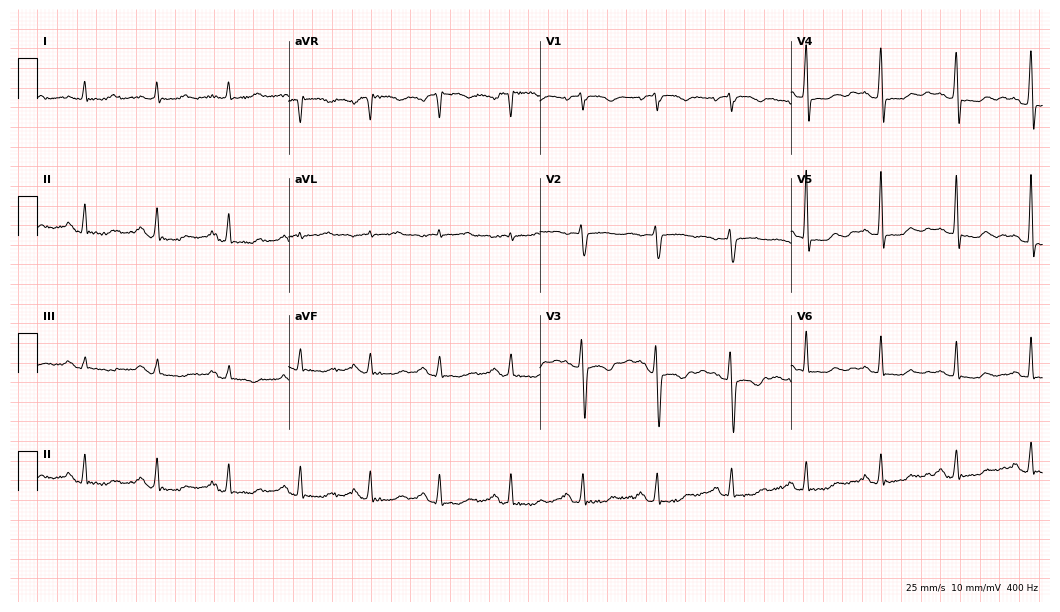
ECG — a 71-year-old woman. Labelled as a normal ECG.